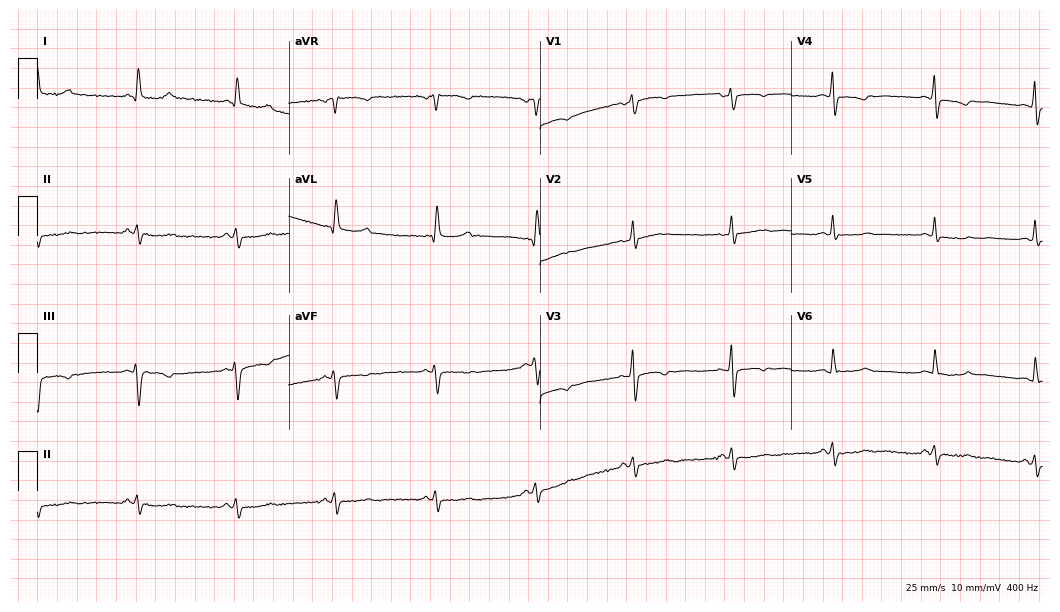
12-lead ECG from a female patient, 66 years old. Screened for six findings — first-degree AV block, right bundle branch block (RBBB), left bundle branch block (LBBB), sinus bradycardia, atrial fibrillation (AF), sinus tachycardia — none is recorded. Other findings, if any, are not listed.